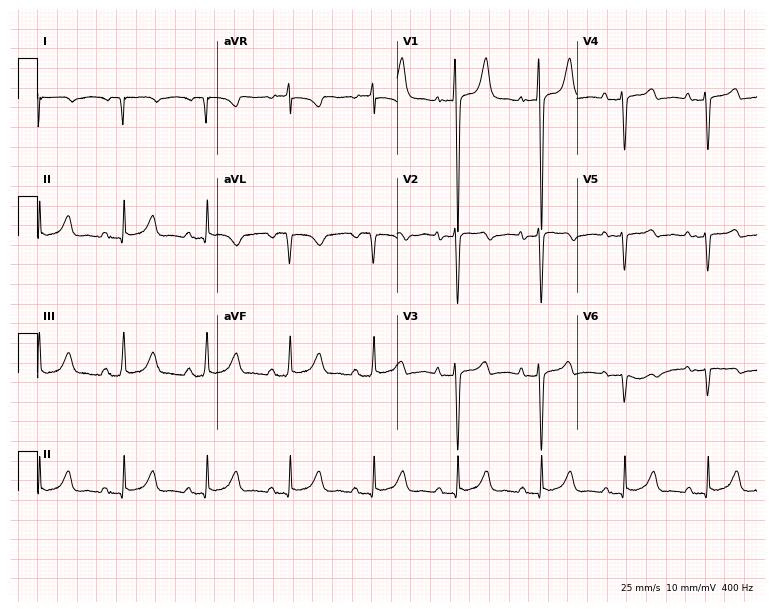
Resting 12-lead electrocardiogram (7.3-second recording at 400 Hz). Patient: a male, 42 years old. None of these six findings is recorded: first-degree AV block, right bundle branch block, left bundle branch block, sinus bradycardia, atrial fibrillation, sinus tachycardia.